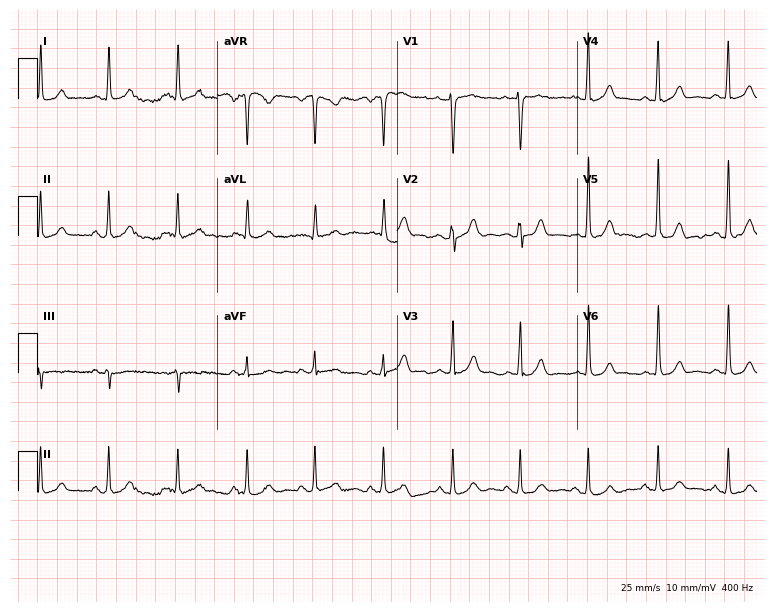
Electrocardiogram, a 32-year-old female patient. Overall reading on record: normal ECG.